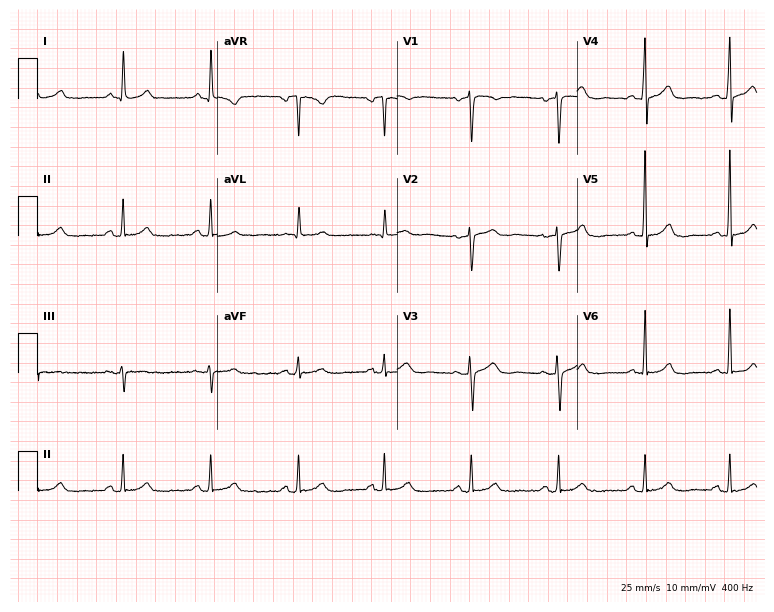
Electrocardiogram (7.3-second recording at 400 Hz), a 51-year-old female patient. Overall reading on record: normal ECG.